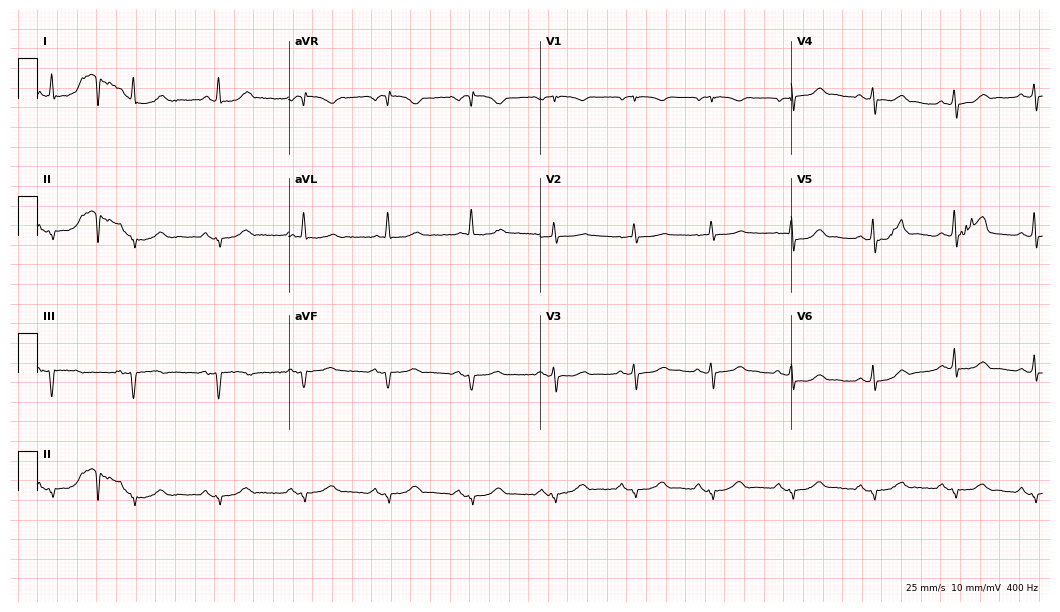
12-lead ECG from a female, 73 years old (10.2-second recording at 400 Hz). No first-degree AV block, right bundle branch block (RBBB), left bundle branch block (LBBB), sinus bradycardia, atrial fibrillation (AF) or sinus tachycardia recorded for this tracing.